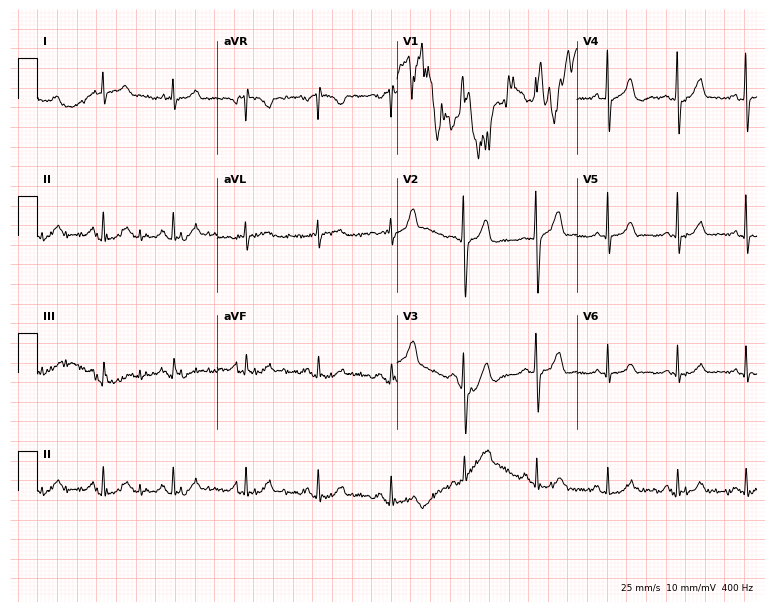
Electrocardiogram, a male, 33 years old. Of the six screened findings (first-degree AV block, right bundle branch block, left bundle branch block, sinus bradycardia, atrial fibrillation, sinus tachycardia), none is recorded.